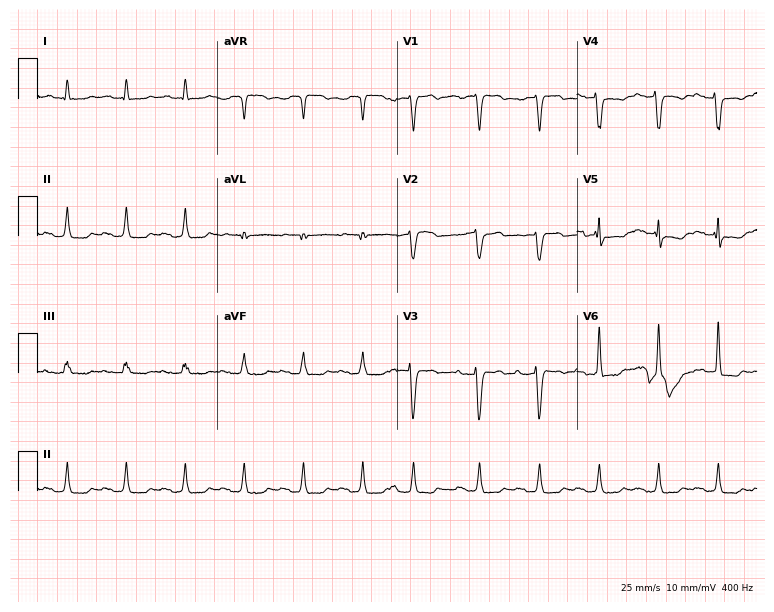
12-lead ECG from a male, 82 years old. Findings include first-degree AV block.